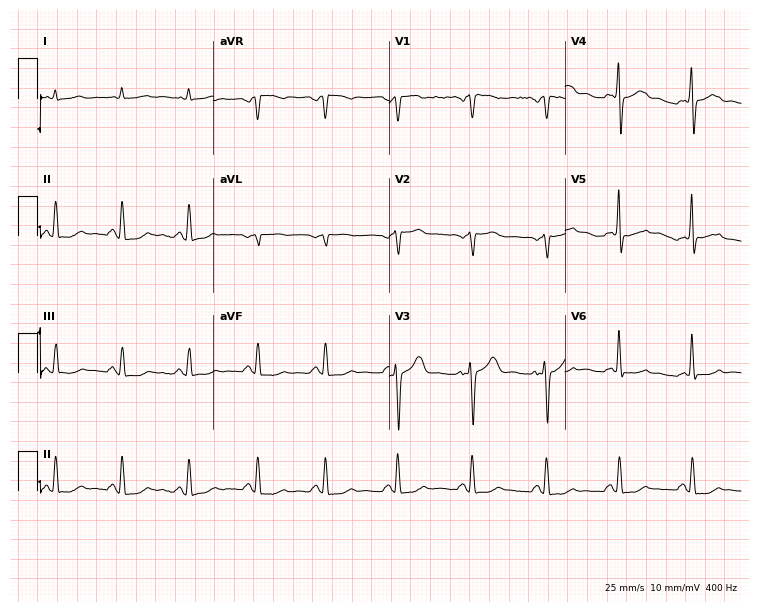
Resting 12-lead electrocardiogram. Patient: a 61-year-old woman. None of these six findings is recorded: first-degree AV block, right bundle branch block, left bundle branch block, sinus bradycardia, atrial fibrillation, sinus tachycardia. Other findings, if any, are not listed.